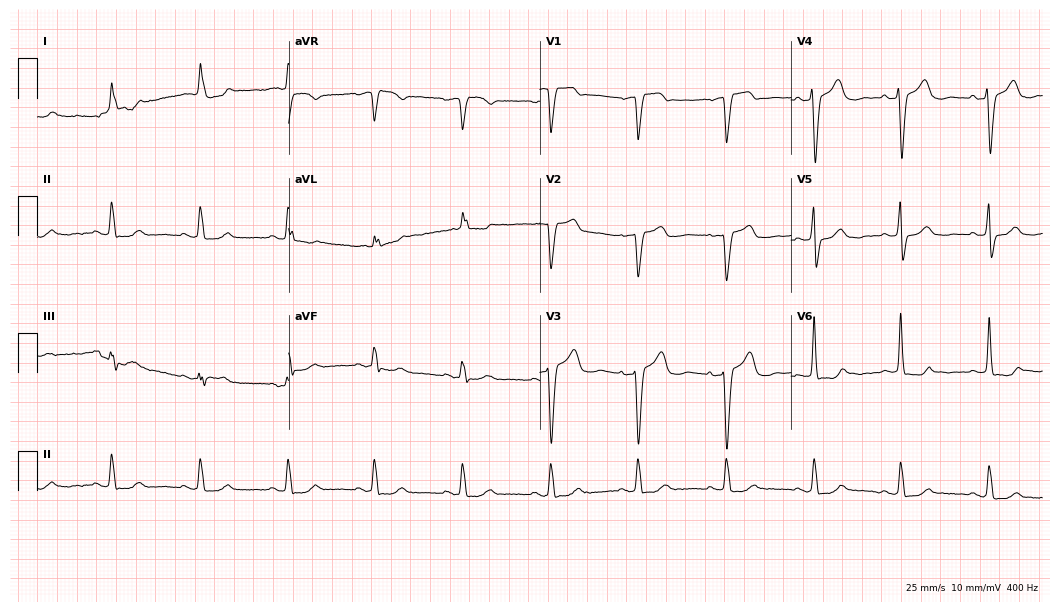
ECG (10.2-second recording at 400 Hz) — a female, 70 years old. Screened for six findings — first-degree AV block, right bundle branch block, left bundle branch block, sinus bradycardia, atrial fibrillation, sinus tachycardia — none is recorded. Other findings, if any, are not listed.